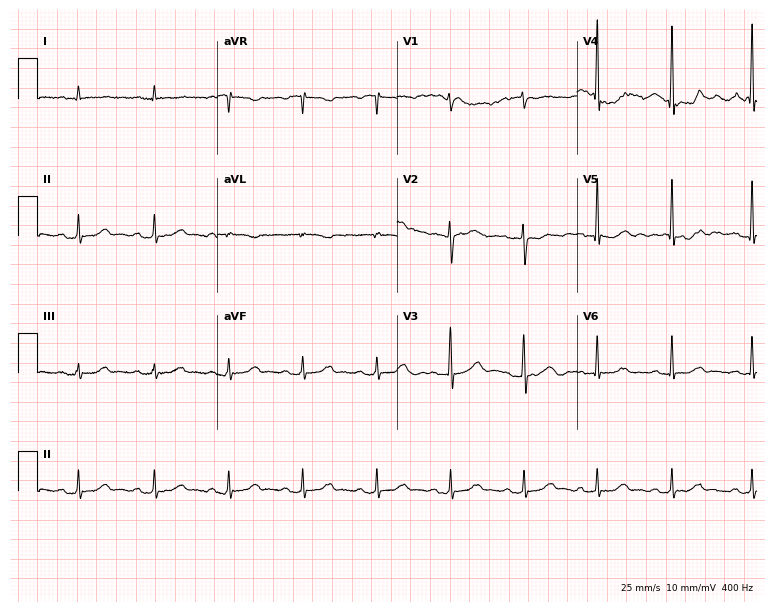
Electrocardiogram, a 64-year-old female patient. Of the six screened findings (first-degree AV block, right bundle branch block, left bundle branch block, sinus bradycardia, atrial fibrillation, sinus tachycardia), none is recorded. Other findings, if any, are not listed.